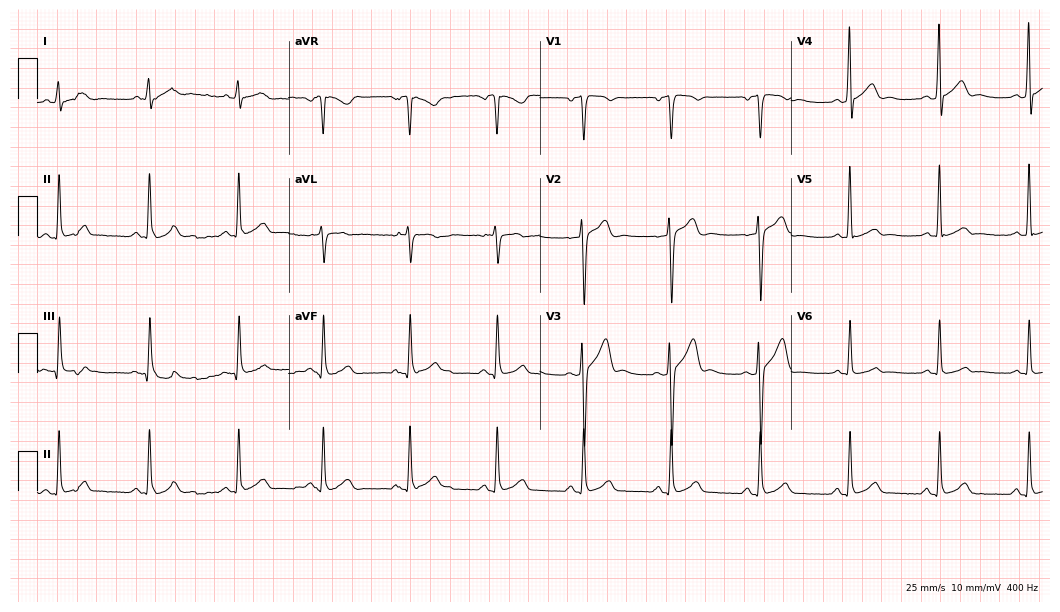
Standard 12-lead ECG recorded from a male patient, 37 years old. None of these six findings is recorded: first-degree AV block, right bundle branch block, left bundle branch block, sinus bradycardia, atrial fibrillation, sinus tachycardia.